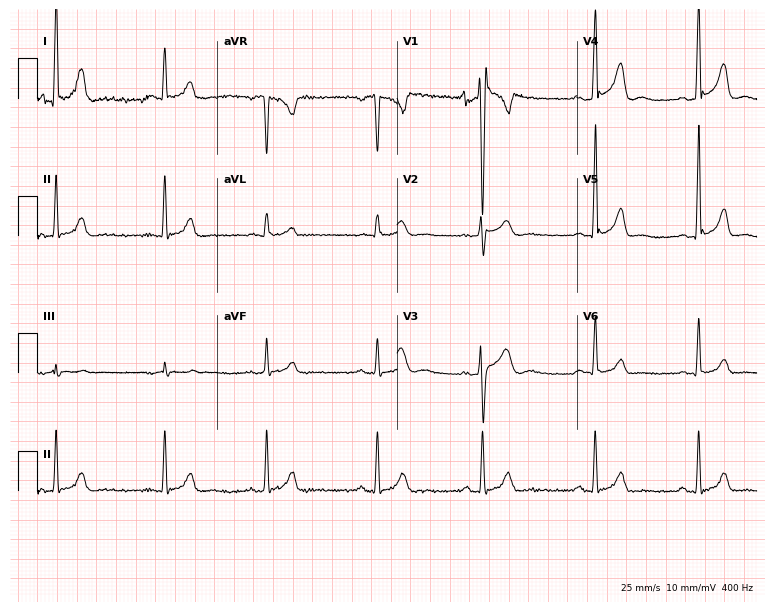
12-lead ECG from a male patient, 44 years old. No first-degree AV block, right bundle branch block (RBBB), left bundle branch block (LBBB), sinus bradycardia, atrial fibrillation (AF) or sinus tachycardia recorded for this tracing.